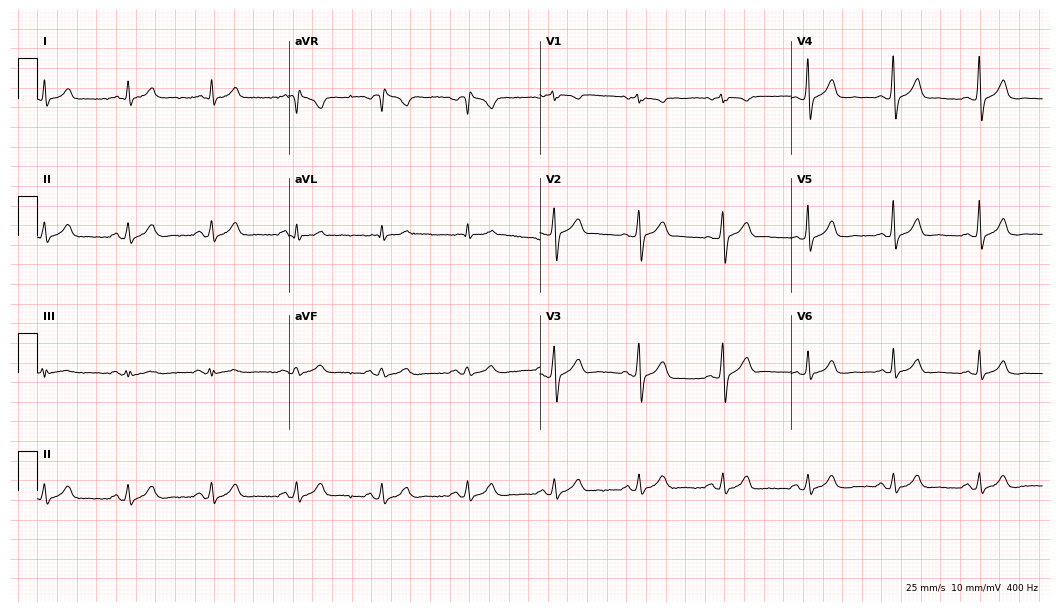
Standard 12-lead ECG recorded from a 52-year-old man (10.2-second recording at 400 Hz). Read as a normal ECG.